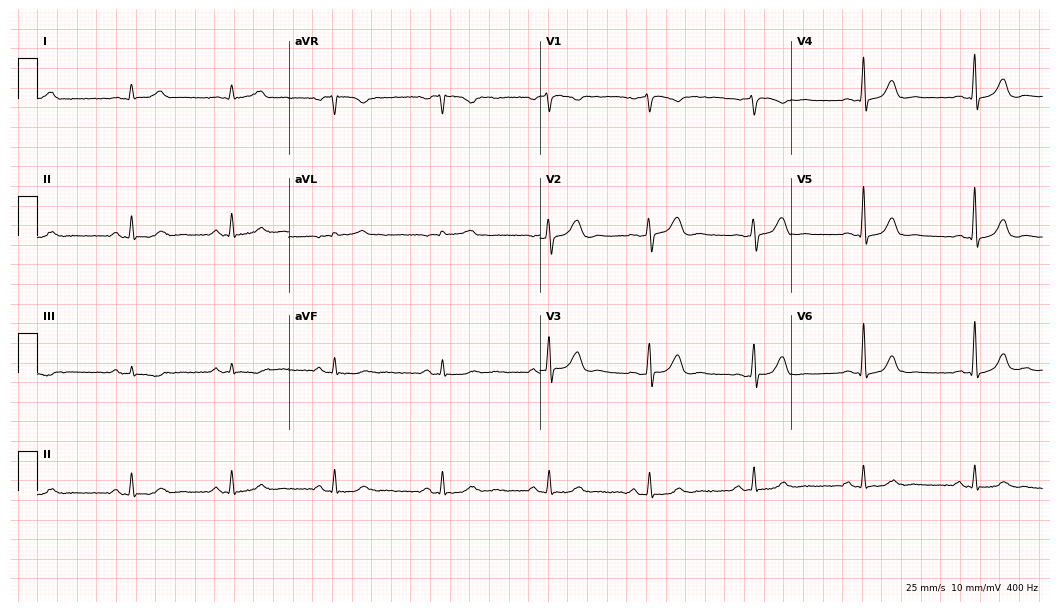
ECG (10.2-second recording at 400 Hz) — a female patient, 47 years old. Labelled as a normal ECG.